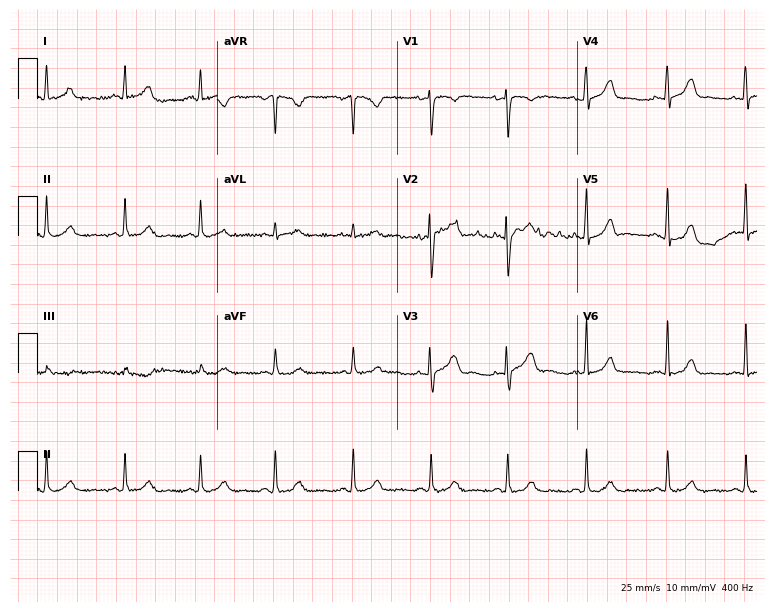
12-lead ECG from a woman, 38 years old. Recorded interpretation: within normal limits.